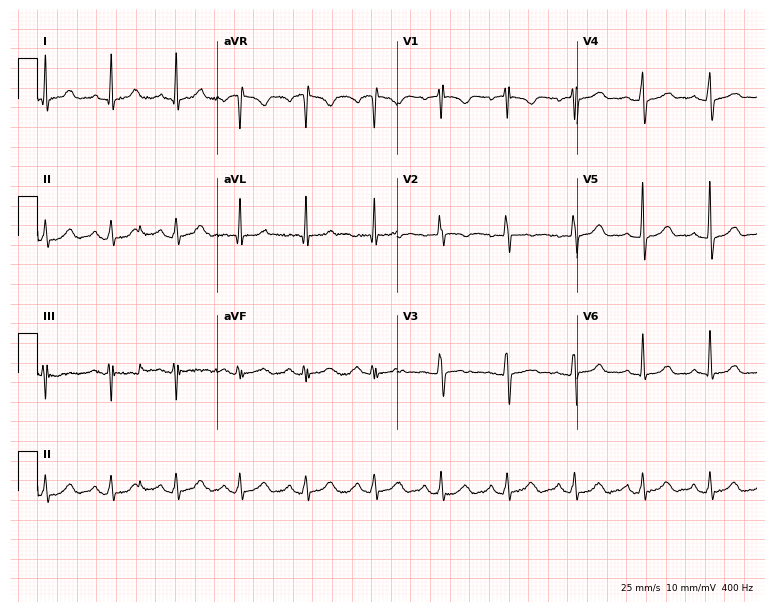
Resting 12-lead electrocardiogram. Patient: a female, 46 years old. None of these six findings is recorded: first-degree AV block, right bundle branch block, left bundle branch block, sinus bradycardia, atrial fibrillation, sinus tachycardia.